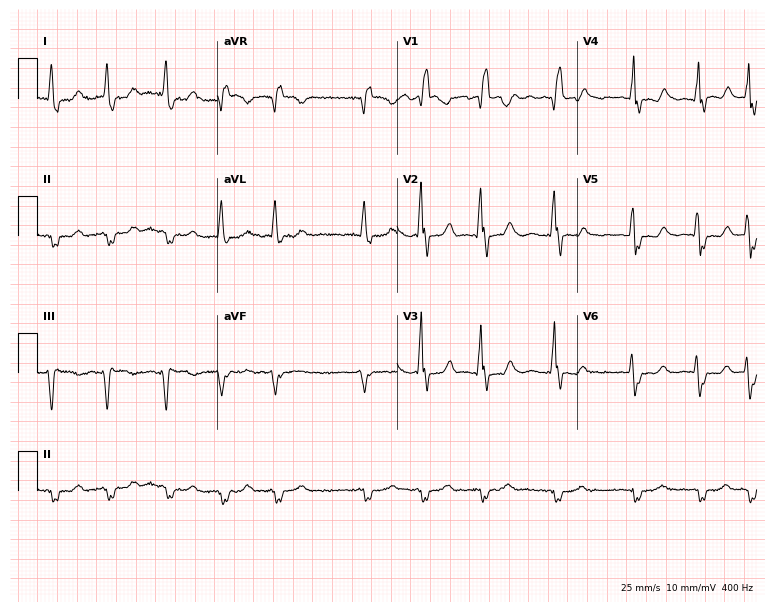
Electrocardiogram (7.3-second recording at 400 Hz), an 83-year-old man. Interpretation includes right bundle branch block, atrial fibrillation.